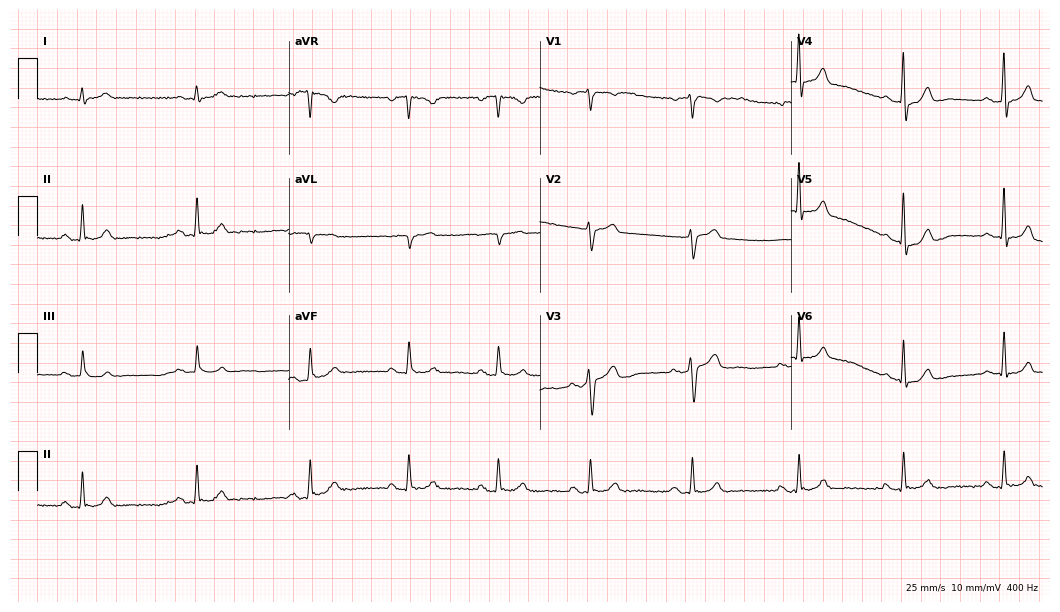
Resting 12-lead electrocardiogram (10.2-second recording at 400 Hz). Patient: a male, 41 years old. Read as a normal ECG.